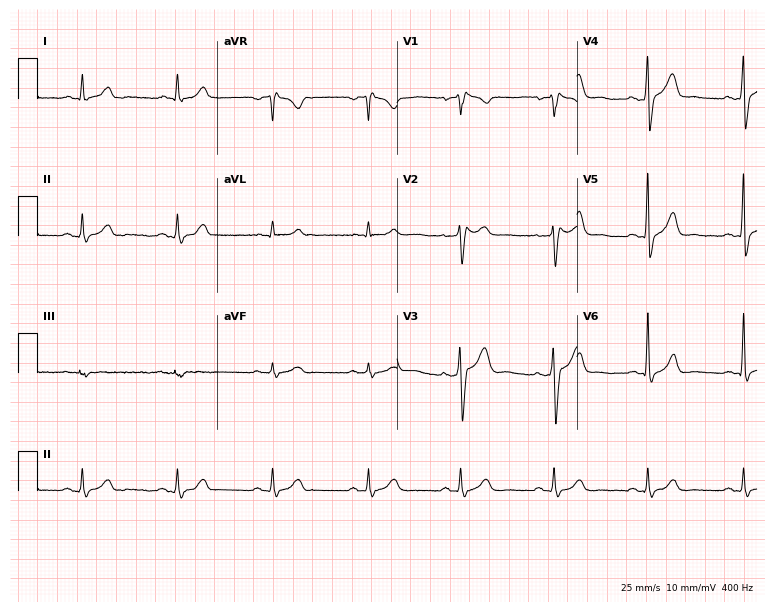
ECG (7.3-second recording at 400 Hz) — a male, 35 years old. Screened for six findings — first-degree AV block, right bundle branch block (RBBB), left bundle branch block (LBBB), sinus bradycardia, atrial fibrillation (AF), sinus tachycardia — none is recorded. Other findings, if any, are not listed.